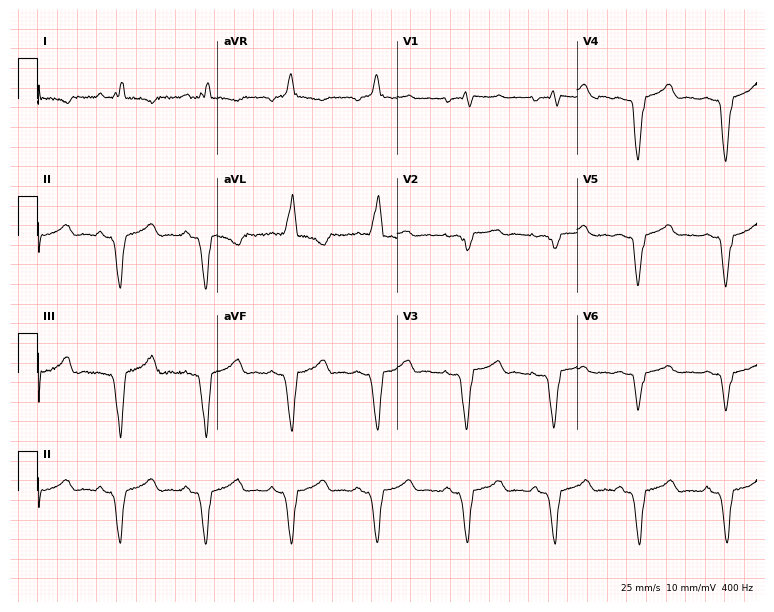
Resting 12-lead electrocardiogram (7.3-second recording at 400 Hz). Patient: a woman, 56 years old. None of these six findings is recorded: first-degree AV block, right bundle branch block, left bundle branch block, sinus bradycardia, atrial fibrillation, sinus tachycardia.